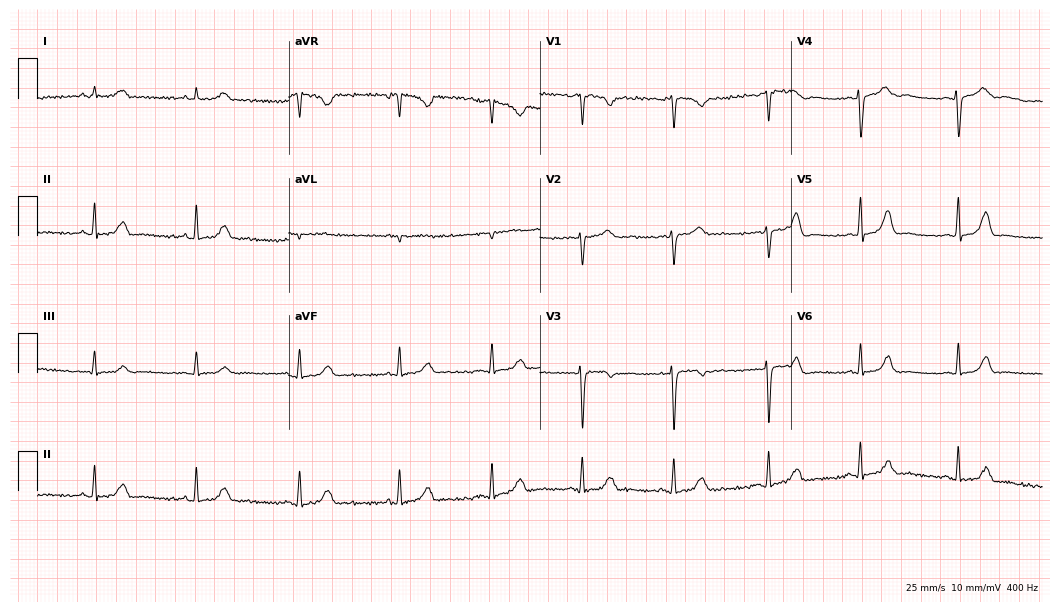
Standard 12-lead ECG recorded from a 40-year-old female patient. Read as a normal ECG.